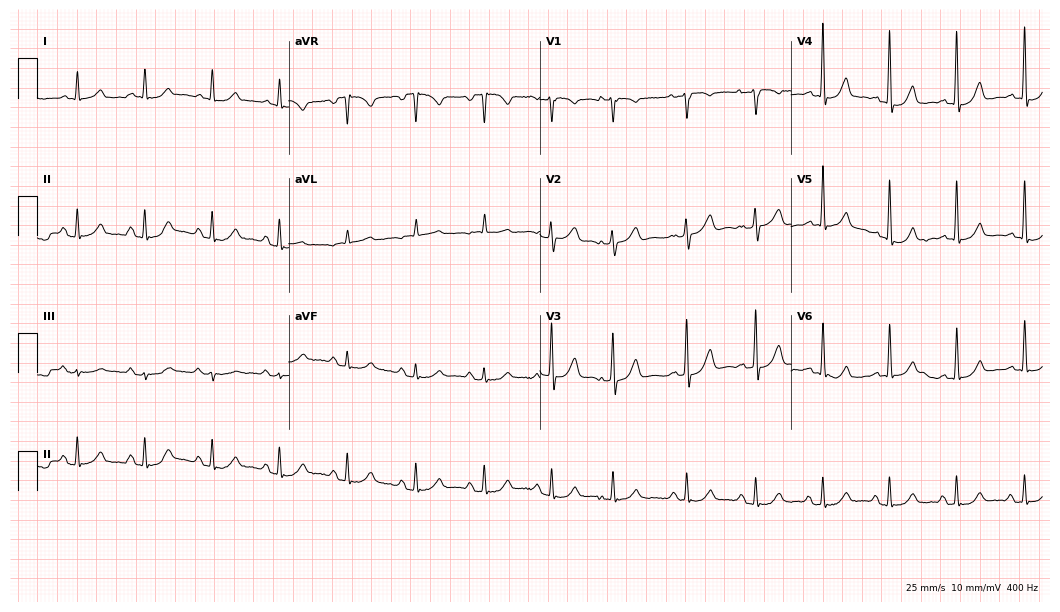
Resting 12-lead electrocardiogram (10.2-second recording at 400 Hz). Patient: a female, 84 years old. None of these six findings is recorded: first-degree AV block, right bundle branch block, left bundle branch block, sinus bradycardia, atrial fibrillation, sinus tachycardia.